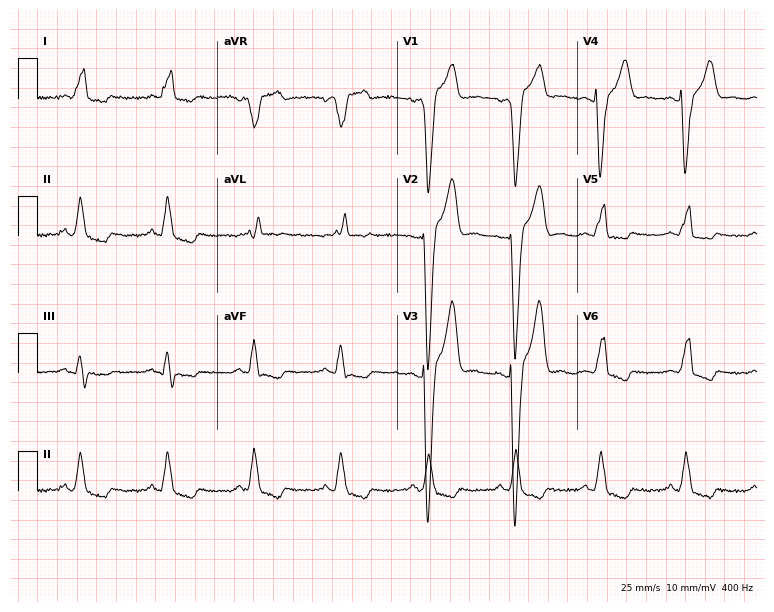
ECG (7.3-second recording at 400 Hz) — a 45-year-old man. Findings include left bundle branch block (LBBB).